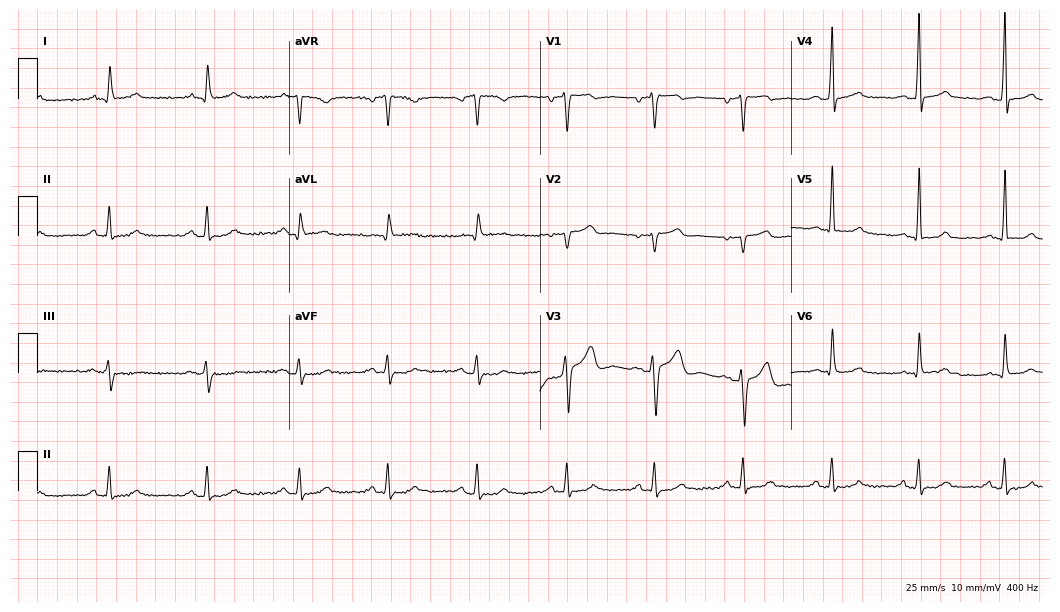
12-lead ECG (10.2-second recording at 400 Hz) from a 51-year-old man. Screened for six findings — first-degree AV block, right bundle branch block, left bundle branch block, sinus bradycardia, atrial fibrillation, sinus tachycardia — none is recorded.